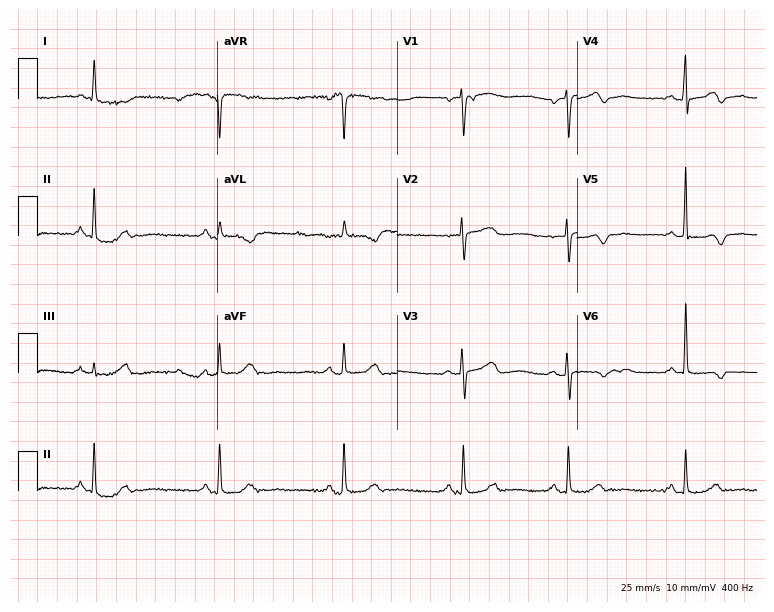
Electrocardiogram (7.3-second recording at 400 Hz), a female, 79 years old. Of the six screened findings (first-degree AV block, right bundle branch block (RBBB), left bundle branch block (LBBB), sinus bradycardia, atrial fibrillation (AF), sinus tachycardia), none is recorded. Other findings, if any, are not listed.